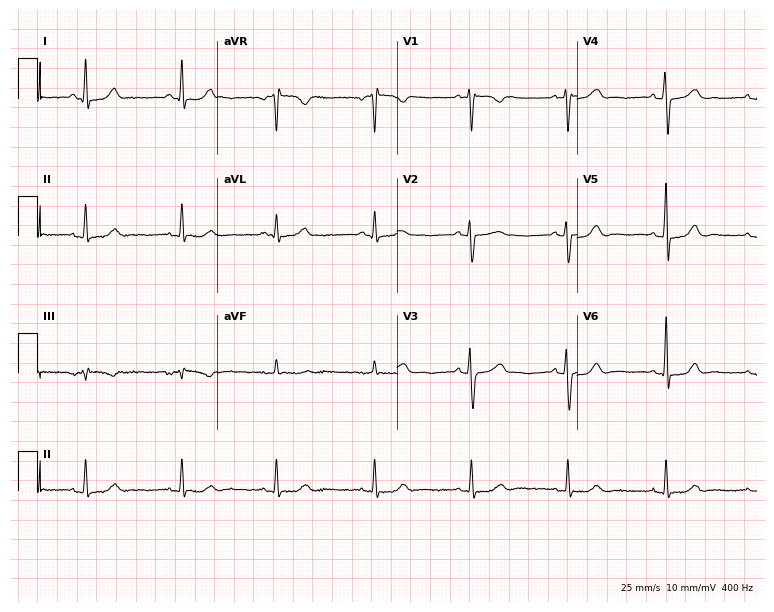
Resting 12-lead electrocardiogram. Patient: a 34-year-old woman. Read as a normal ECG.